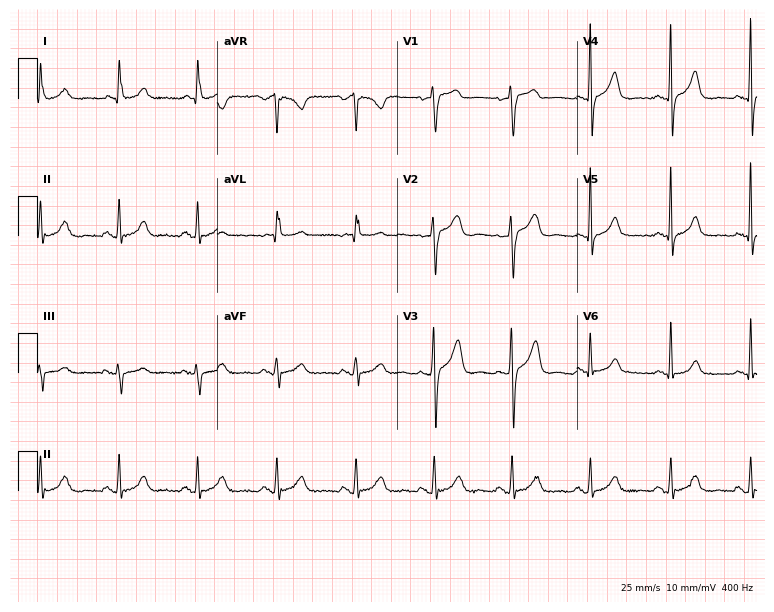
Standard 12-lead ECG recorded from a 64-year-old woman. None of these six findings is recorded: first-degree AV block, right bundle branch block, left bundle branch block, sinus bradycardia, atrial fibrillation, sinus tachycardia.